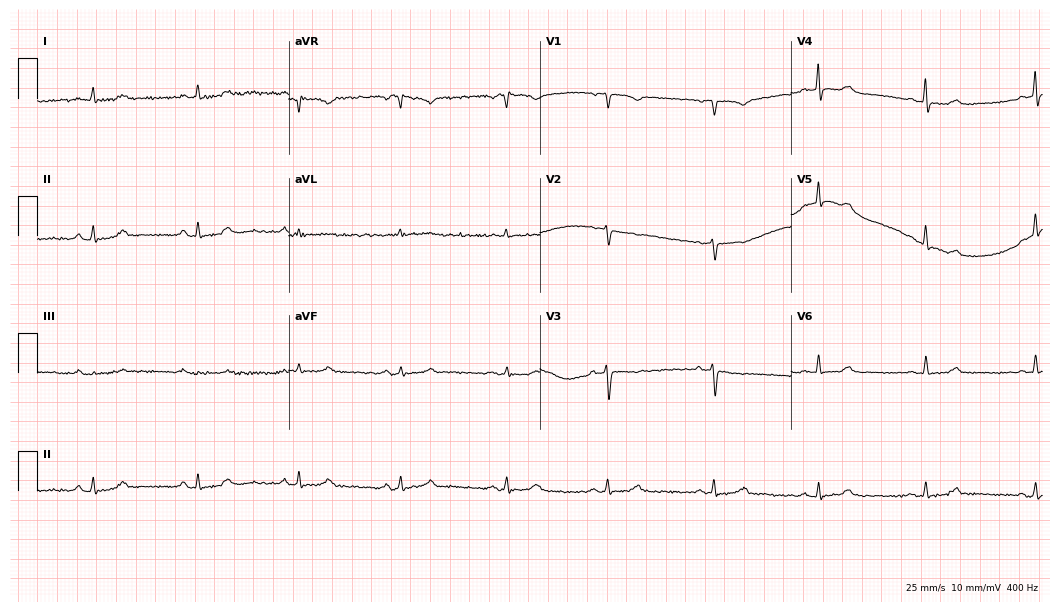
Electrocardiogram (10.2-second recording at 400 Hz), a 47-year-old female. Overall reading on record: normal ECG.